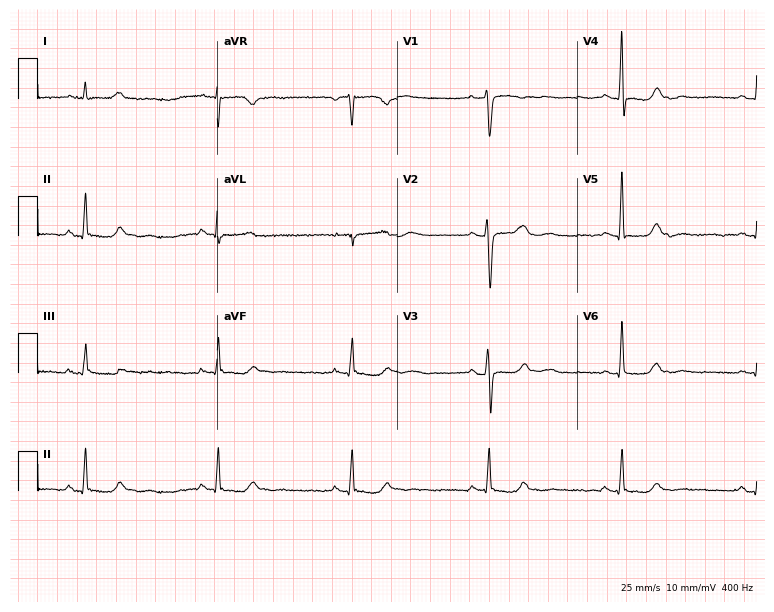
Electrocardiogram (7.3-second recording at 400 Hz), a 49-year-old female patient. Interpretation includes sinus bradycardia (a sinus rate of 50 beats per minute or less).